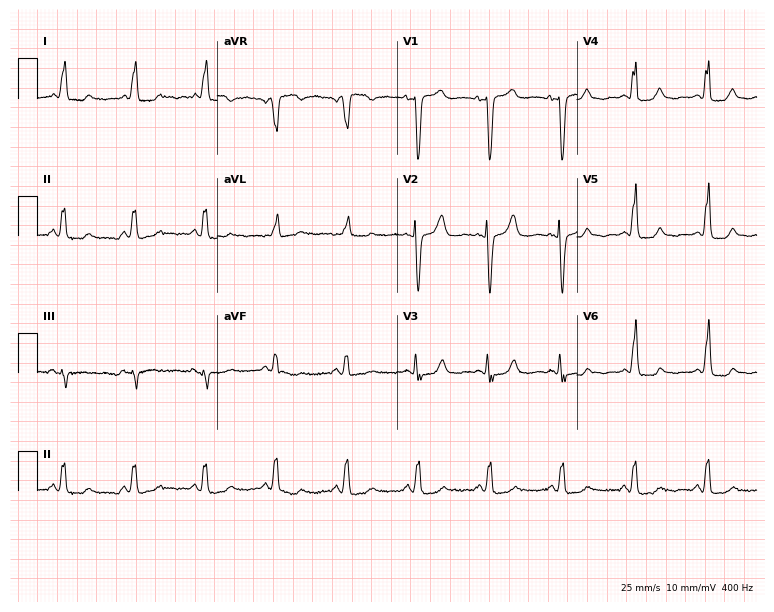
12-lead ECG (7.3-second recording at 400 Hz) from a female patient, 79 years old. Screened for six findings — first-degree AV block, right bundle branch block, left bundle branch block, sinus bradycardia, atrial fibrillation, sinus tachycardia — none is recorded. Only these six findings were labelled.